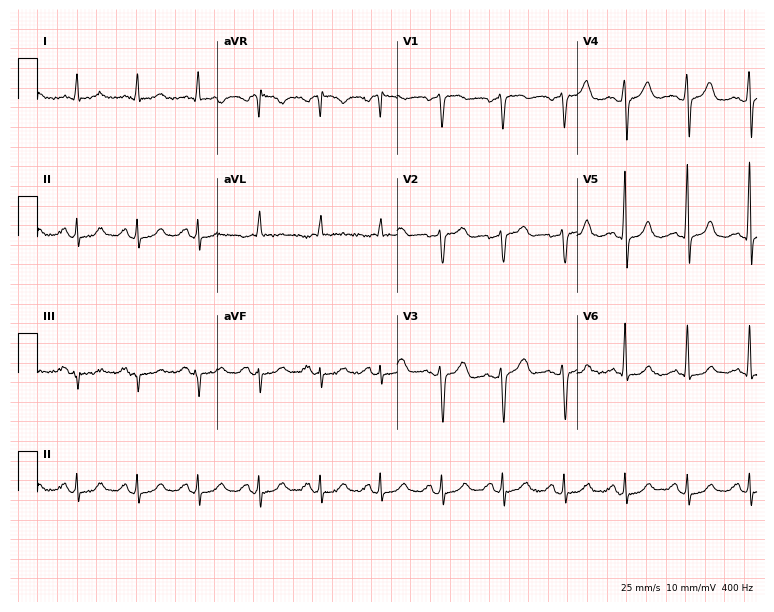
Resting 12-lead electrocardiogram. Patient: a male, 77 years old. None of these six findings is recorded: first-degree AV block, right bundle branch block, left bundle branch block, sinus bradycardia, atrial fibrillation, sinus tachycardia.